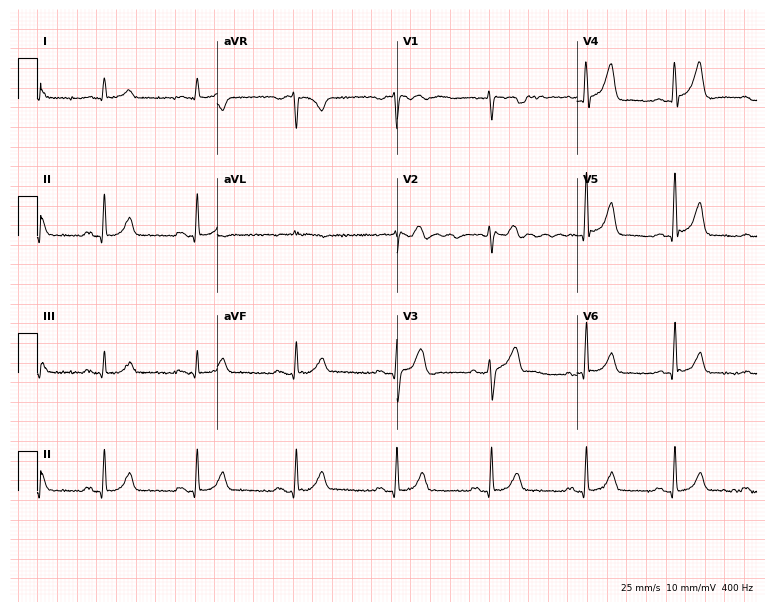
Standard 12-lead ECG recorded from a male, 52 years old. Read as a normal ECG.